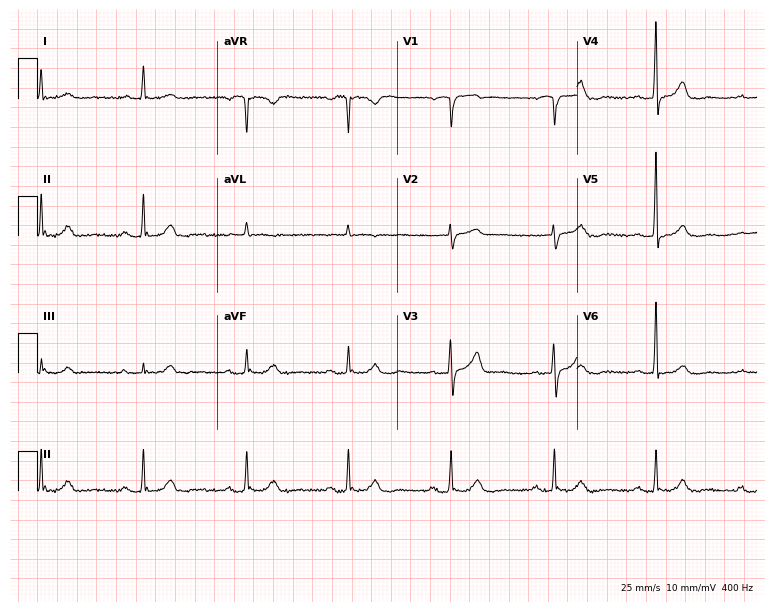
Standard 12-lead ECG recorded from an 82-year-old male (7.3-second recording at 400 Hz). Read as a normal ECG.